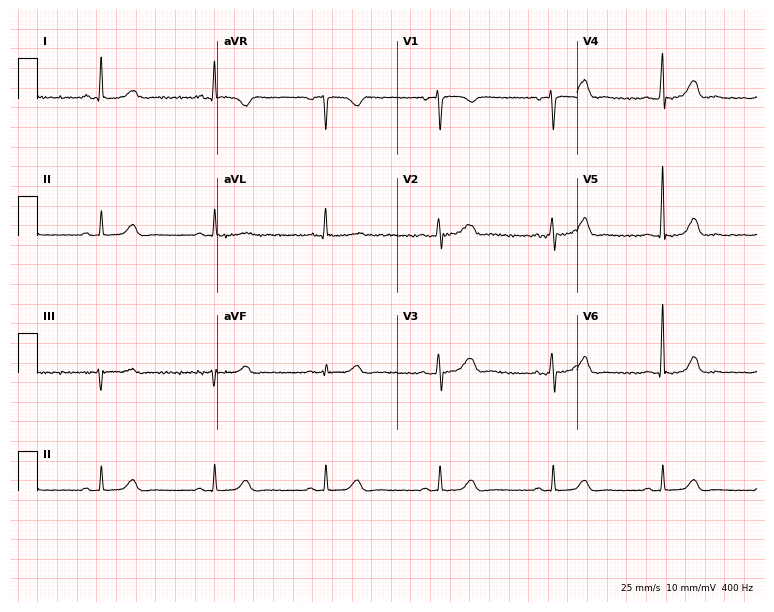
Standard 12-lead ECG recorded from a 49-year-old woman. Read as a normal ECG.